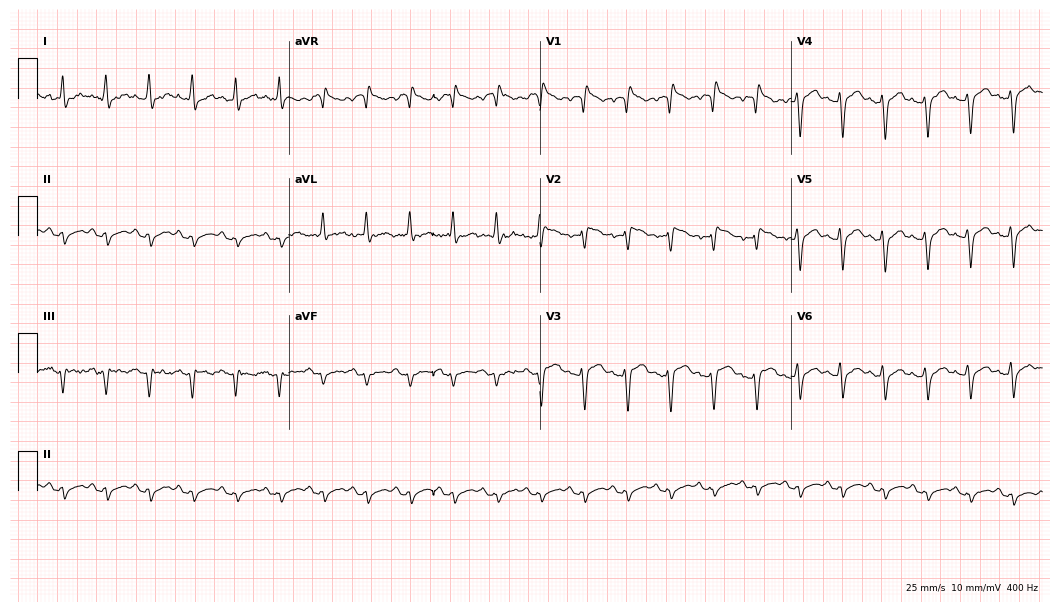
Standard 12-lead ECG recorded from a 51-year-old male patient (10.2-second recording at 400 Hz). The tracing shows sinus tachycardia (a sinus rate of 100 beats per minute or more).